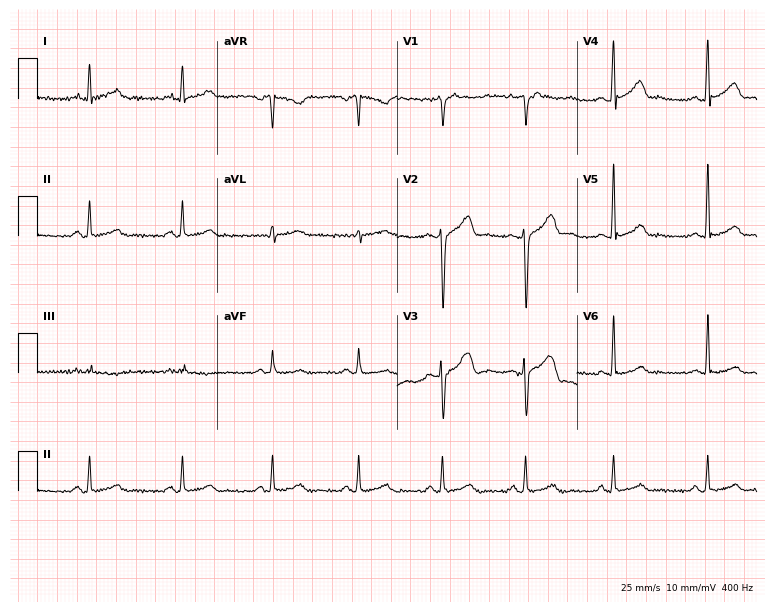
12-lead ECG (7.3-second recording at 400 Hz) from a 41-year-old male. Labelled as a normal ECG.